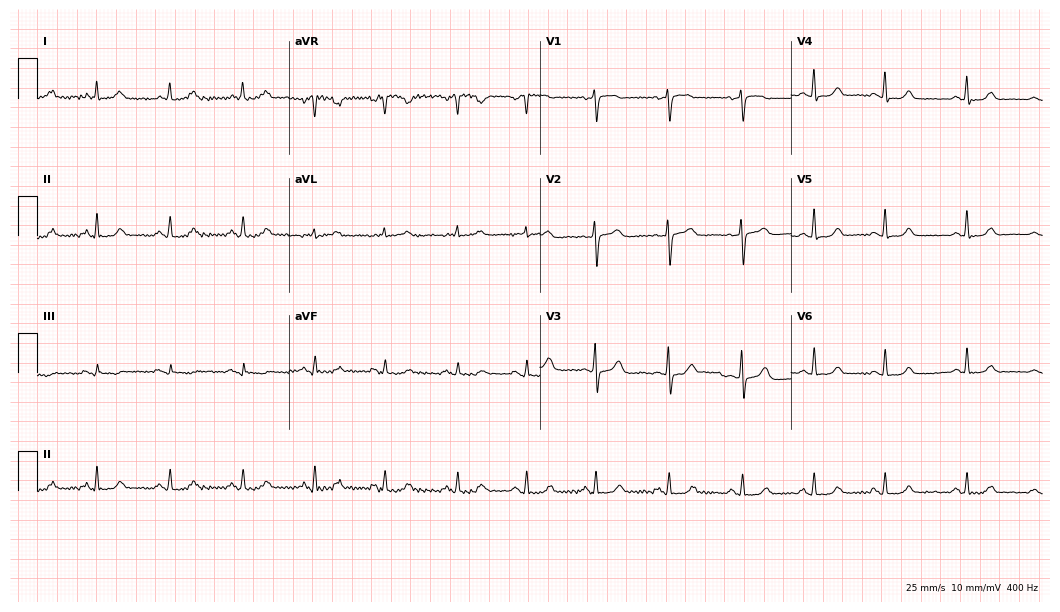
Standard 12-lead ECG recorded from a 69-year-old female. None of these six findings is recorded: first-degree AV block, right bundle branch block (RBBB), left bundle branch block (LBBB), sinus bradycardia, atrial fibrillation (AF), sinus tachycardia. Findings outside these six are not listed.